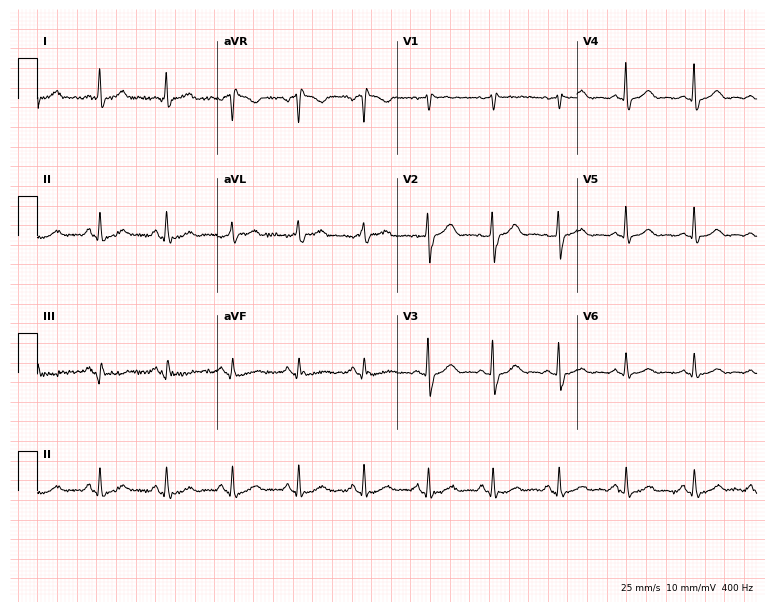
Resting 12-lead electrocardiogram (7.3-second recording at 400 Hz). Patient: a 66-year-old female. Read as a normal ECG.